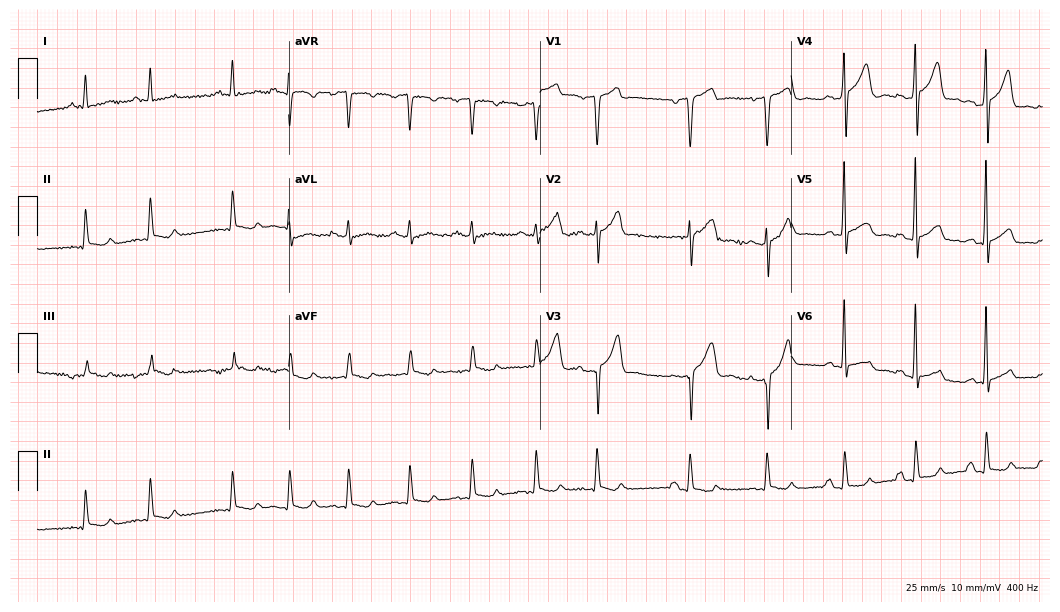
12-lead ECG (10.2-second recording at 400 Hz) from a 74-year-old man. Screened for six findings — first-degree AV block, right bundle branch block, left bundle branch block, sinus bradycardia, atrial fibrillation, sinus tachycardia — none is recorded.